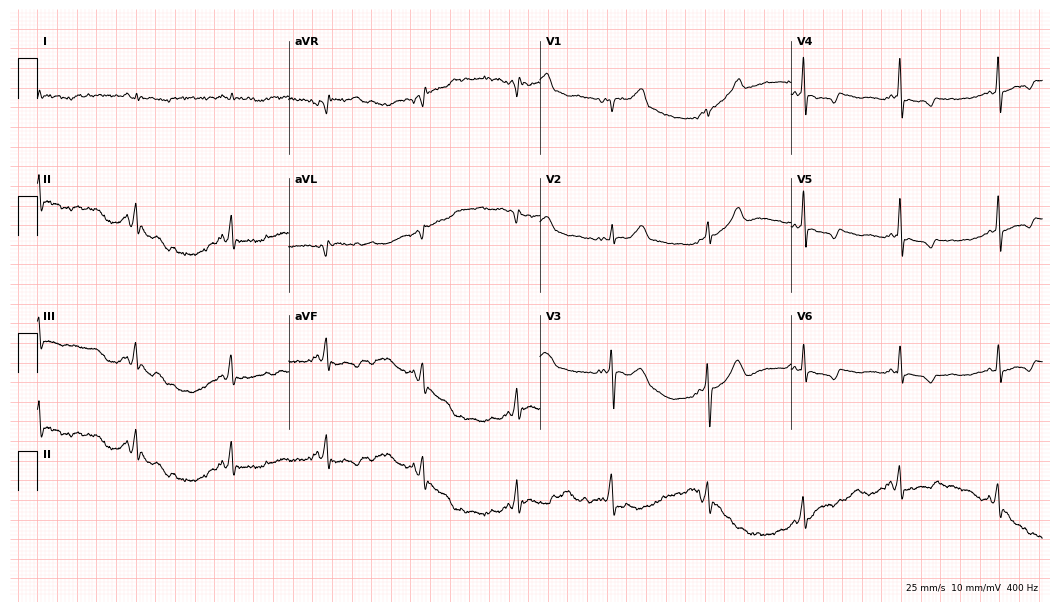
Standard 12-lead ECG recorded from a man, 58 years old (10.2-second recording at 400 Hz). None of these six findings is recorded: first-degree AV block, right bundle branch block (RBBB), left bundle branch block (LBBB), sinus bradycardia, atrial fibrillation (AF), sinus tachycardia. Only these six findings were labelled.